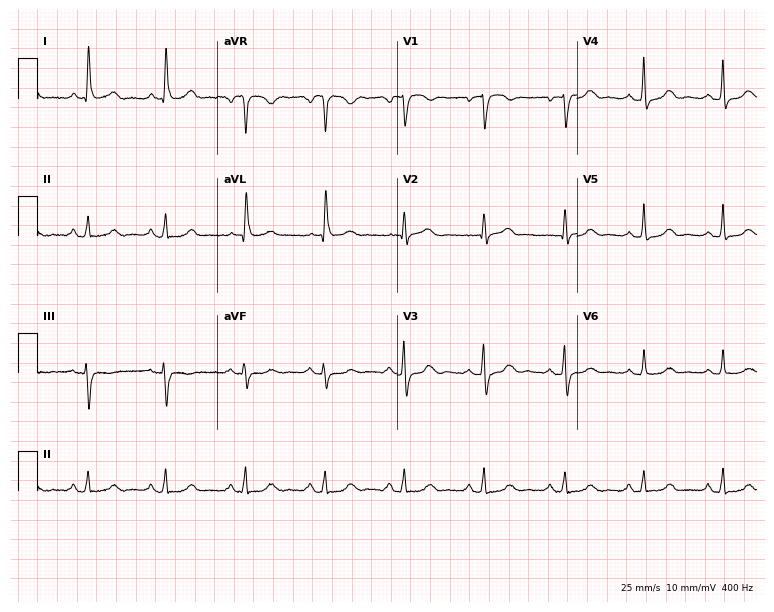
Resting 12-lead electrocardiogram. Patient: a 76-year-old female. None of these six findings is recorded: first-degree AV block, right bundle branch block, left bundle branch block, sinus bradycardia, atrial fibrillation, sinus tachycardia.